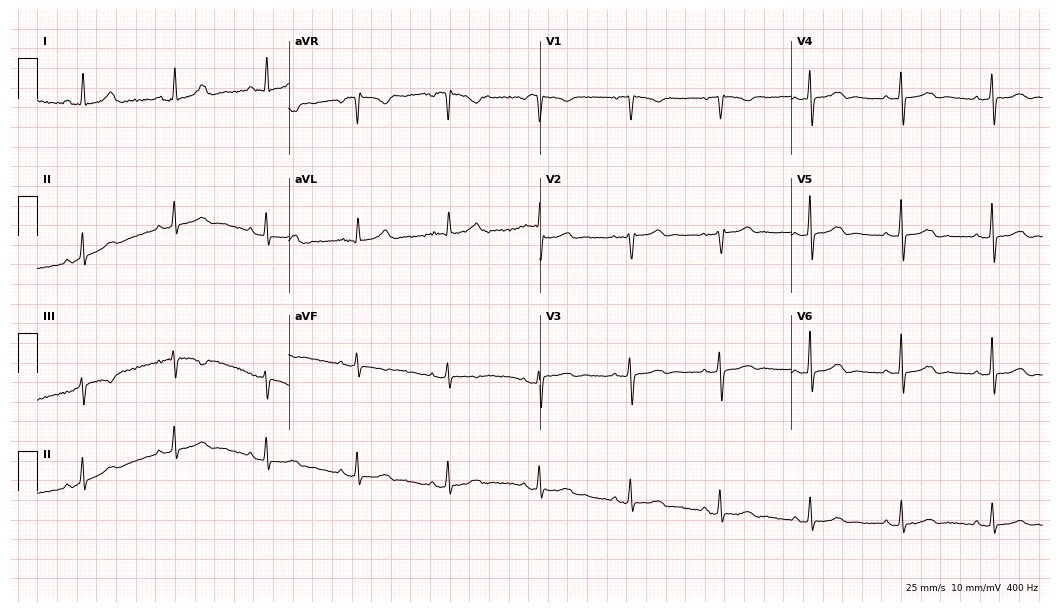
12-lead ECG from a 46-year-old female. Screened for six findings — first-degree AV block, right bundle branch block, left bundle branch block, sinus bradycardia, atrial fibrillation, sinus tachycardia — none is recorded. Other findings, if any, are not listed.